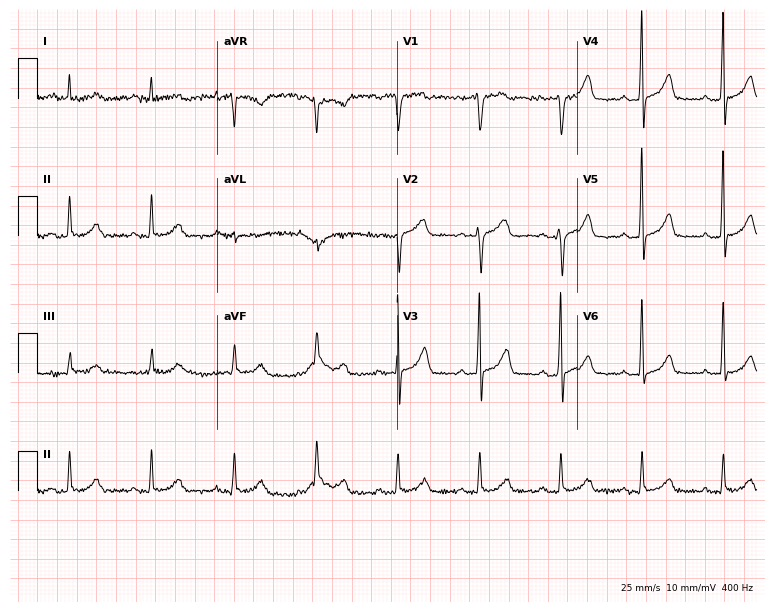
Resting 12-lead electrocardiogram. Patient: a male, 65 years old. Read as a normal ECG.